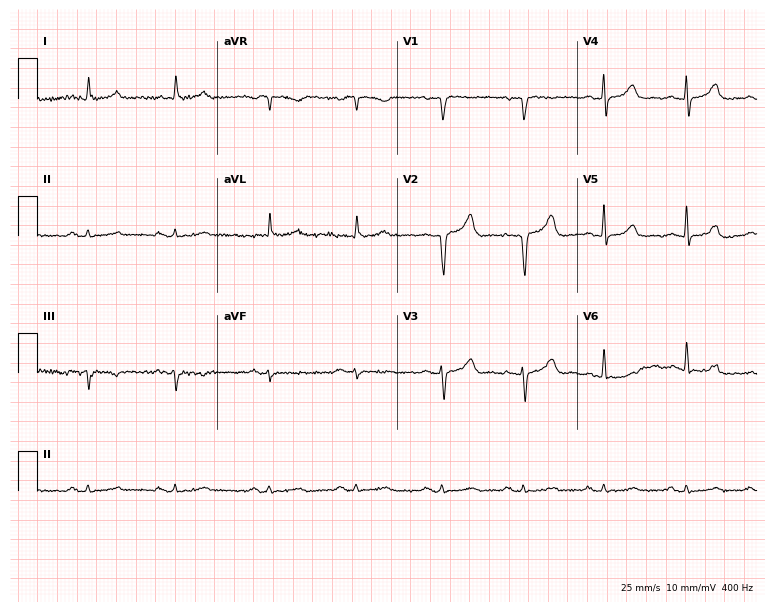
Standard 12-lead ECG recorded from a 75-year-old female patient (7.3-second recording at 400 Hz). Read as a normal ECG.